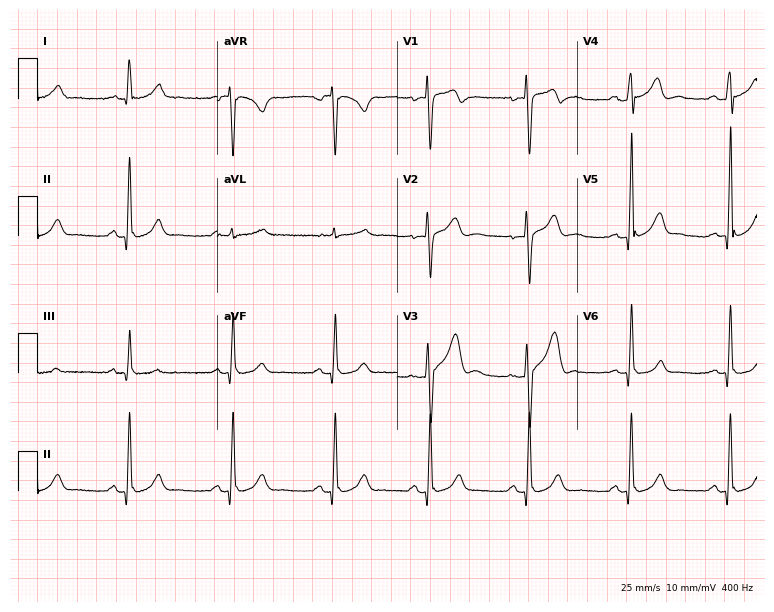
Resting 12-lead electrocardiogram. Patient: a 24-year-old male. Read as a normal ECG.